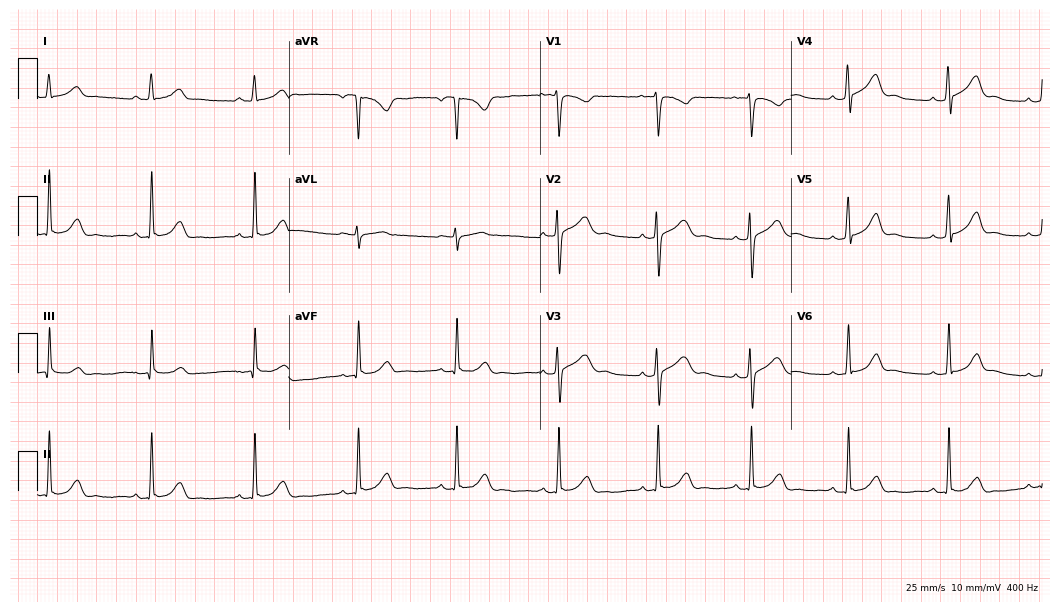
12-lead ECG from an 18-year-old female patient (10.2-second recording at 400 Hz). Recorded interpretation: within normal limits.